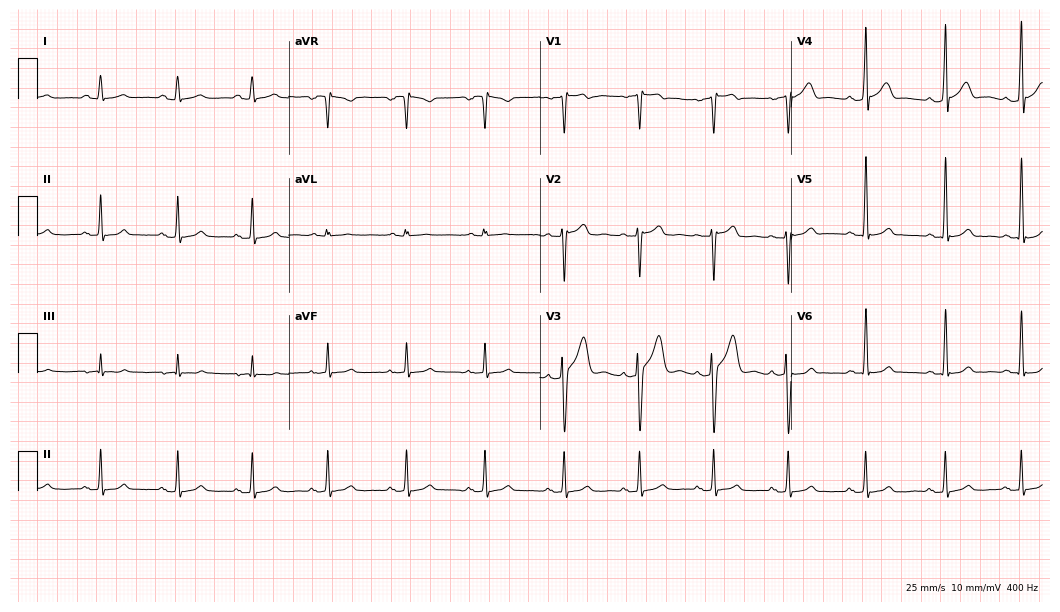
12-lead ECG from a man, 27 years old (10.2-second recording at 400 Hz). Recorded interpretation: within normal limits.